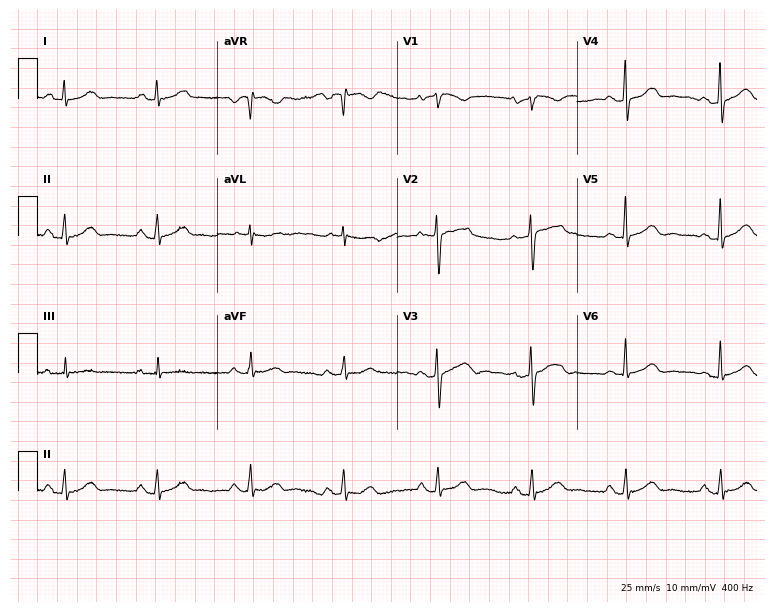
Electrocardiogram, a 42-year-old female patient. Overall reading on record: normal ECG.